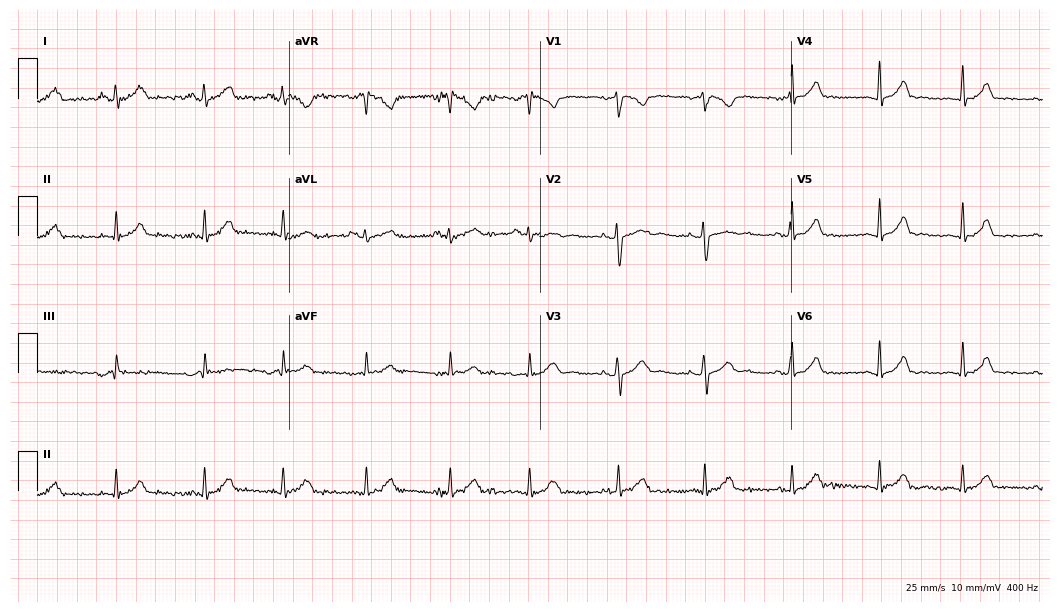
Standard 12-lead ECG recorded from an 18-year-old female patient (10.2-second recording at 400 Hz). Read as a normal ECG.